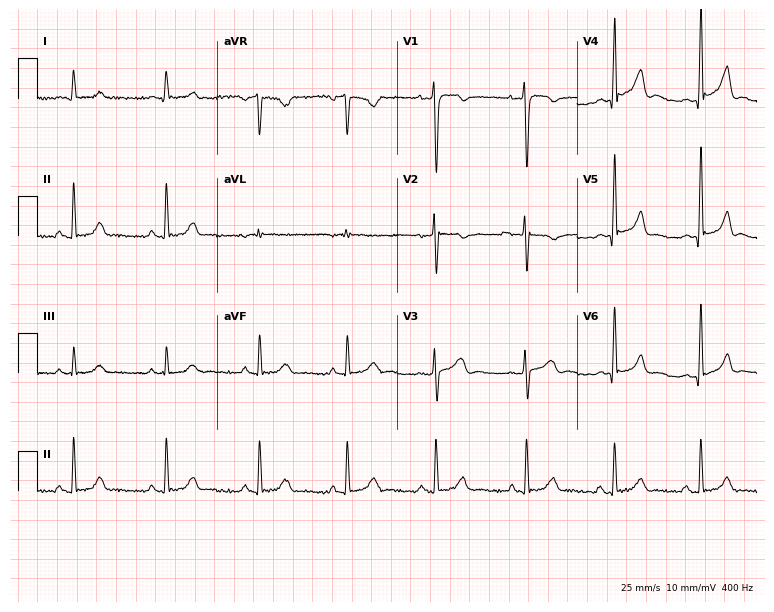
12-lead ECG from a male patient, 29 years old. No first-degree AV block, right bundle branch block (RBBB), left bundle branch block (LBBB), sinus bradycardia, atrial fibrillation (AF) or sinus tachycardia recorded for this tracing. Findings outside these six are not listed.